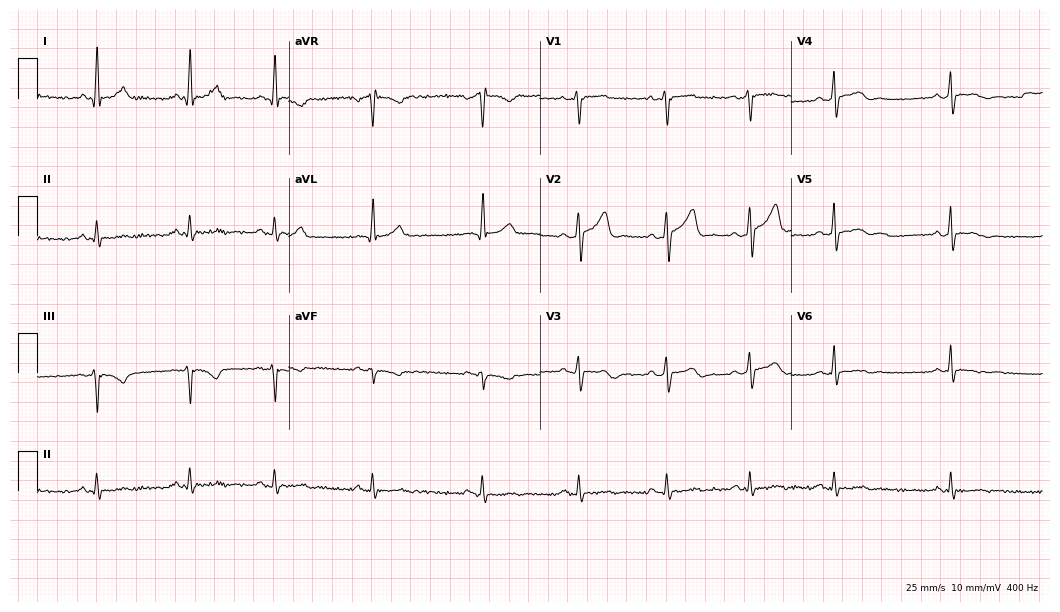
Electrocardiogram (10.2-second recording at 400 Hz), a 41-year-old male patient. Of the six screened findings (first-degree AV block, right bundle branch block, left bundle branch block, sinus bradycardia, atrial fibrillation, sinus tachycardia), none is recorded.